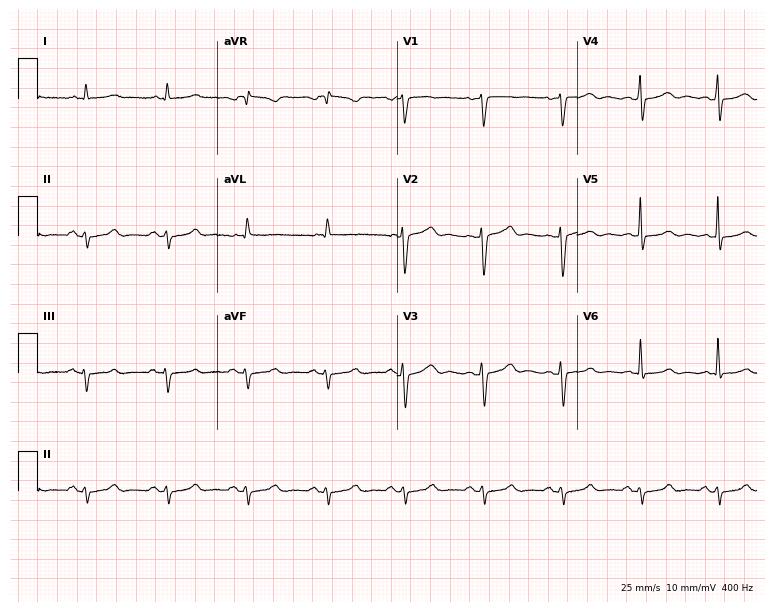
Standard 12-lead ECG recorded from a male, 70 years old. None of these six findings is recorded: first-degree AV block, right bundle branch block, left bundle branch block, sinus bradycardia, atrial fibrillation, sinus tachycardia. Only these six findings were labelled.